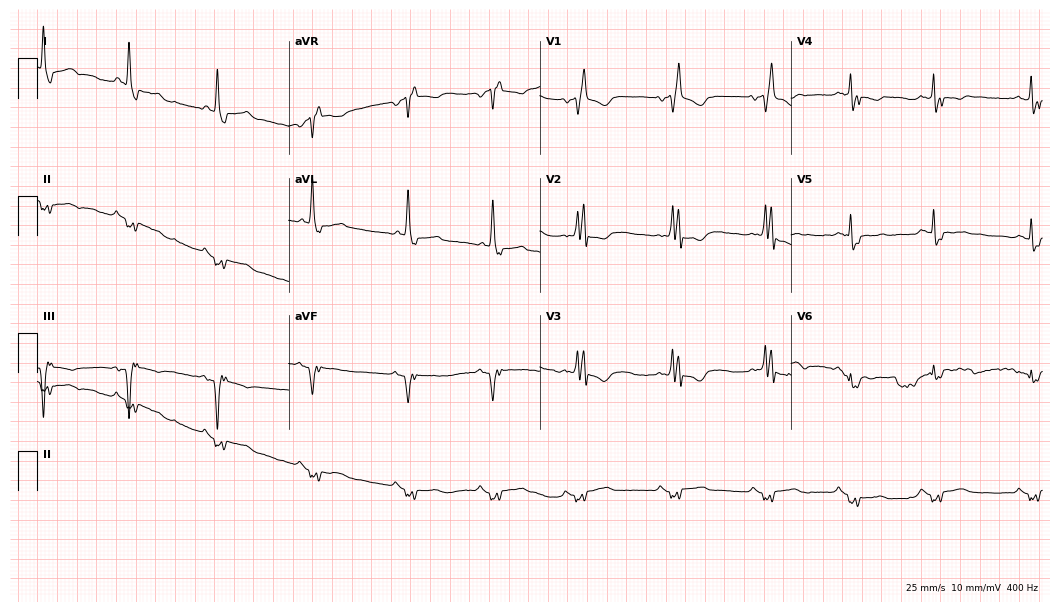
12-lead ECG from a 66-year-old man. No first-degree AV block, right bundle branch block (RBBB), left bundle branch block (LBBB), sinus bradycardia, atrial fibrillation (AF) or sinus tachycardia recorded for this tracing. Other findings, if any, are not listed.